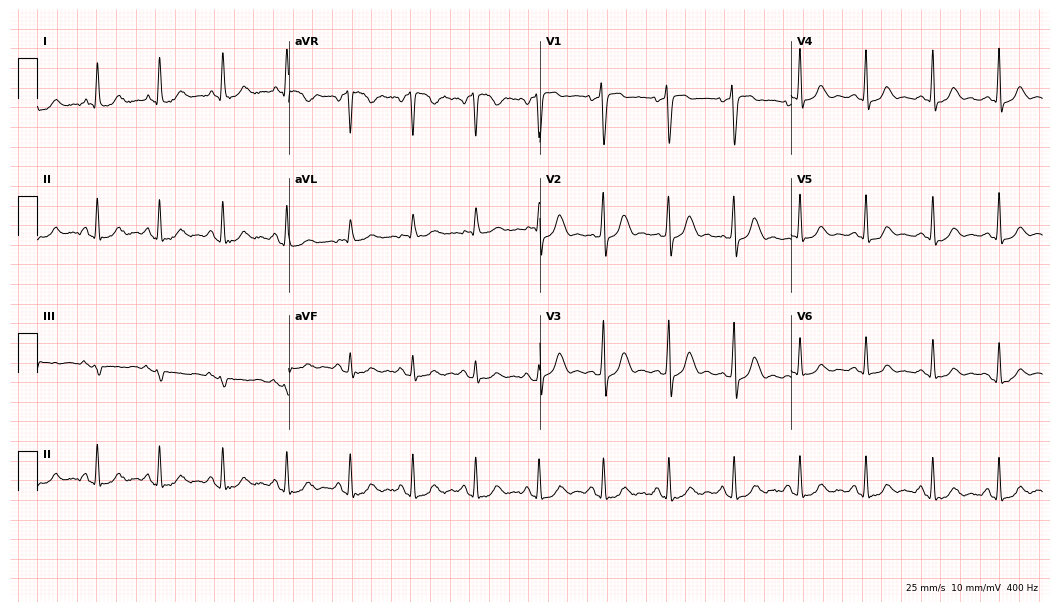
ECG (10.2-second recording at 400 Hz) — a female patient, 55 years old. Labelled as a normal ECG.